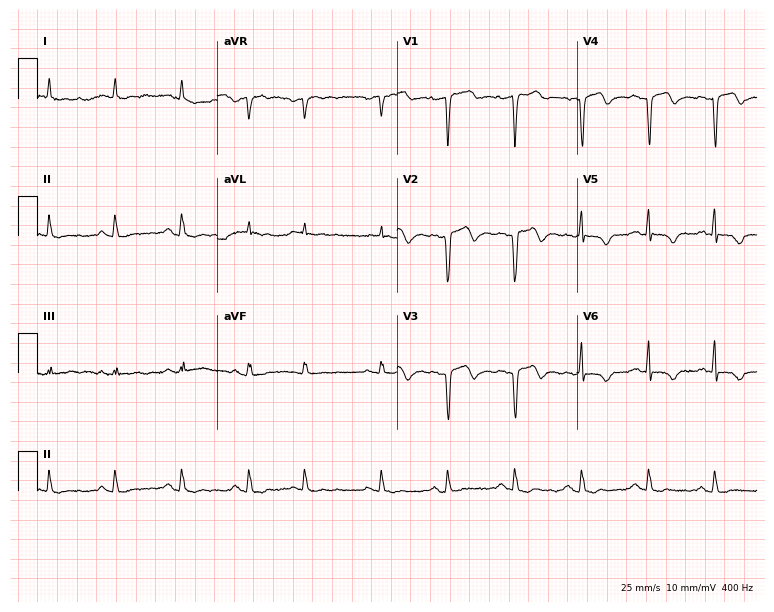
Standard 12-lead ECG recorded from an 82-year-old male (7.3-second recording at 400 Hz). None of these six findings is recorded: first-degree AV block, right bundle branch block, left bundle branch block, sinus bradycardia, atrial fibrillation, sinus tachycardia.